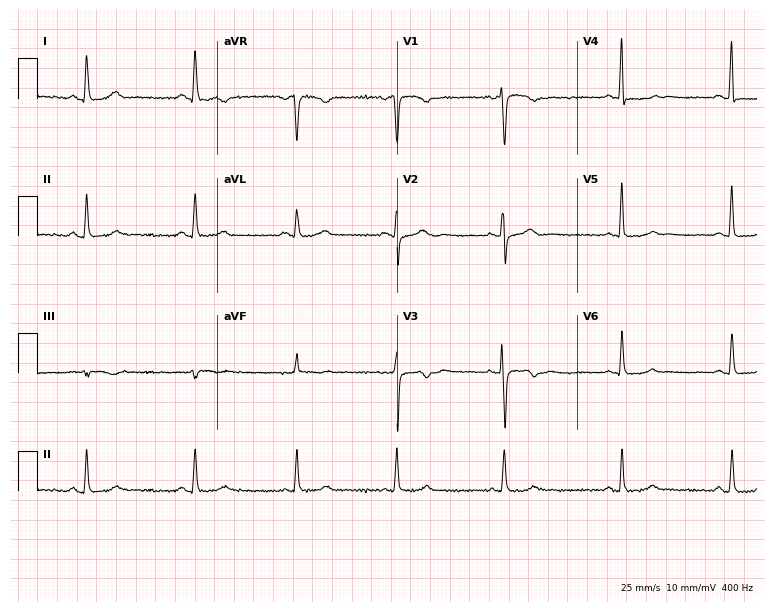
Standard 12-lead ECG recorded from a woman, 39 years old (7.3-second recording at 400 Hz). None of these six findings is recorded: first-degree AV block, right bundle branch block, left bundle branch block, sinus bradycardia, atrial fibrillation, sinus tachycardia. Other findings, if any, are not listed.